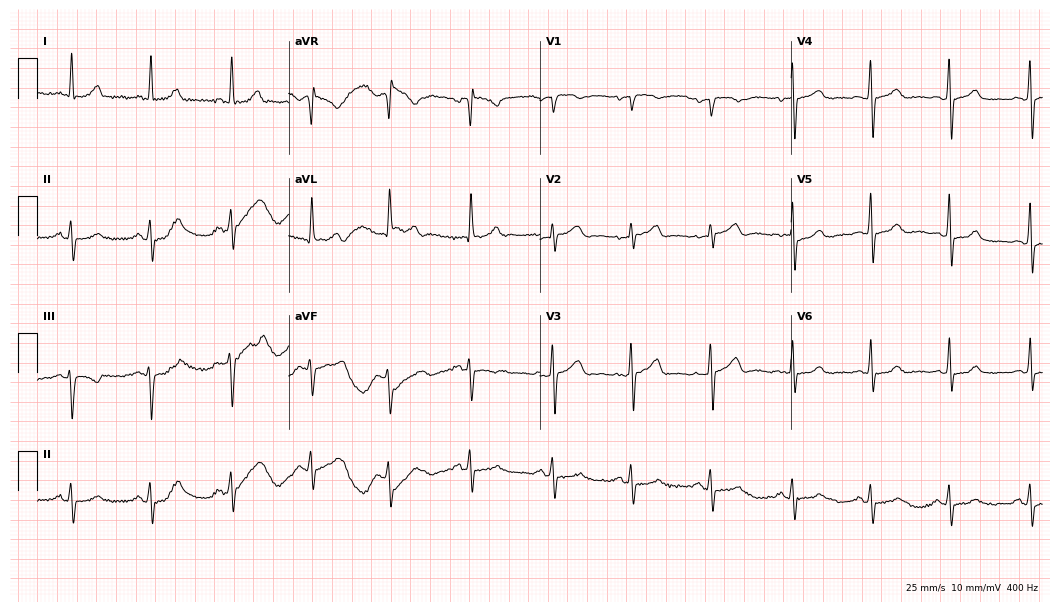
Resting 12-lead electrocardiogram (10.2-second recording at 400 Hz). Patient: a woman, 48 years old. Read as a normal ECG.